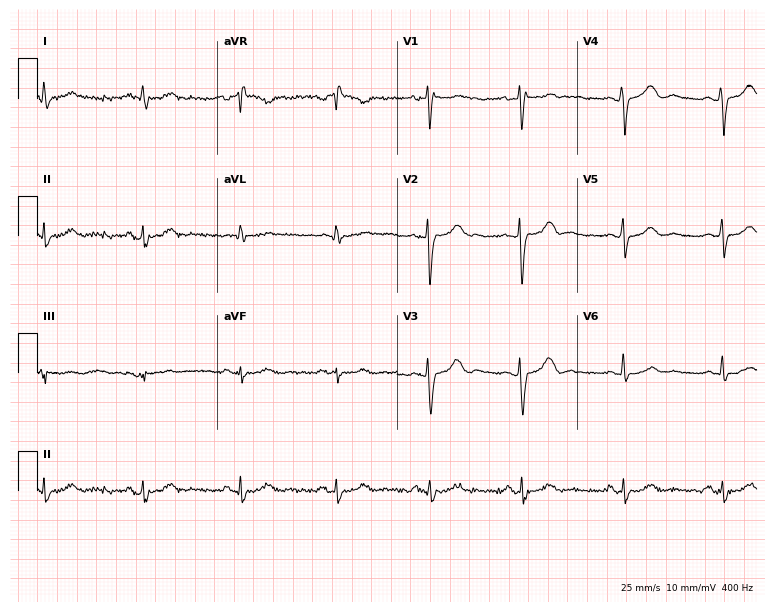
ECG — a 52-year-old female patient. Screened for six findings — first-degree AV block, right bundle branch block (RBBB), left bundle branch block (LBBB), sinus bradycardia, atrial fibrillation (AF), sinus tachycardia — none is recorded.